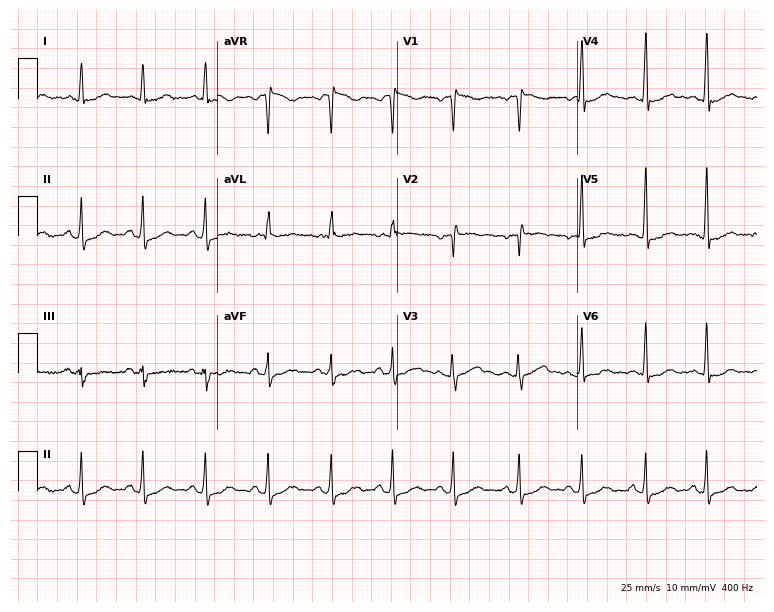
12-lead ECG from a woman, 43 years old. No first-degree AV block, right bundle branch block, left bundle branch block, sinus bradycardia, atrial fibrillation or sinus tachycardia recorded for this tracing. Only these six findings were labelled.